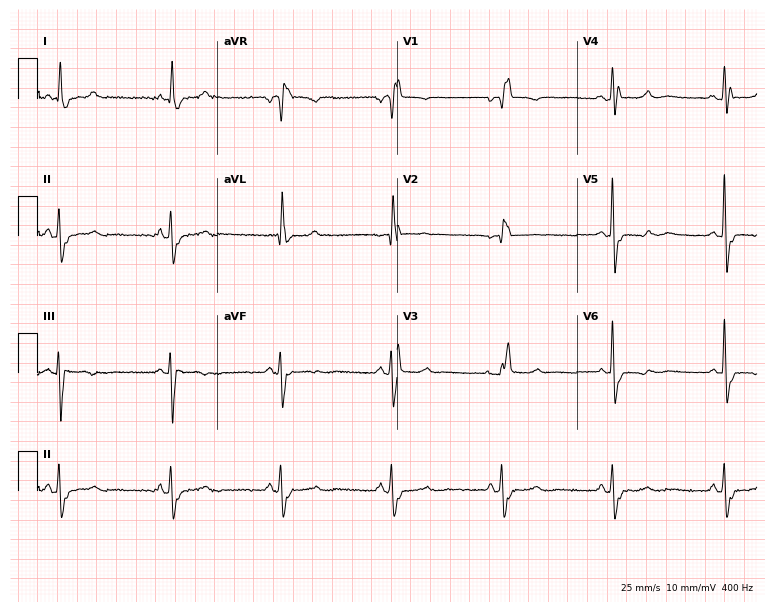
ECG (7.3-second recording at 400 Hz) — an 87-year-old woman. Findings include right bundle branch block (RBBB).